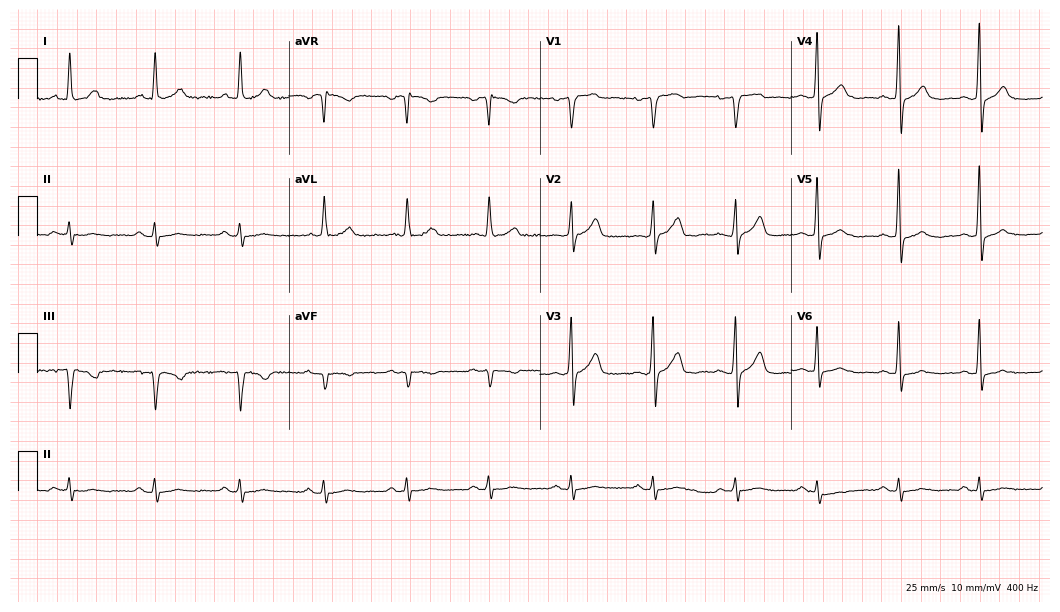
12-lead ECG (10.2-second recording at 400 Hz) from a 69-year-old male patient. Screened for six findings — first-degree AV block, right bundle branch block, left bundle branch block, sinus bradycardia, atrial fibrillation, sinus tachycardia — none is recorded. Only these six findings were labelled.